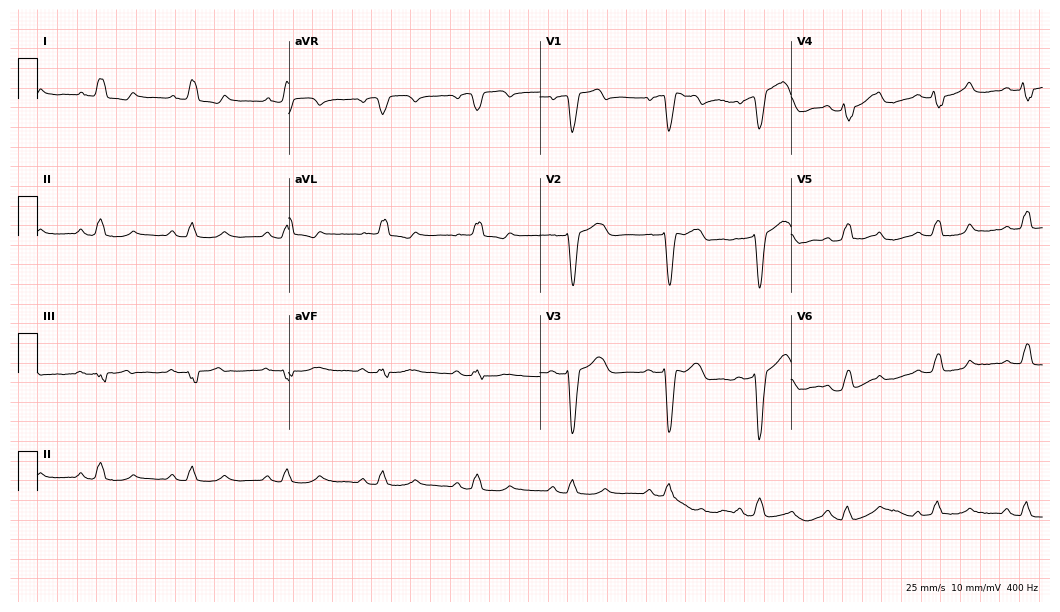
12-lead ECG from a male, 76 years old. Findings include left bundle branch block.